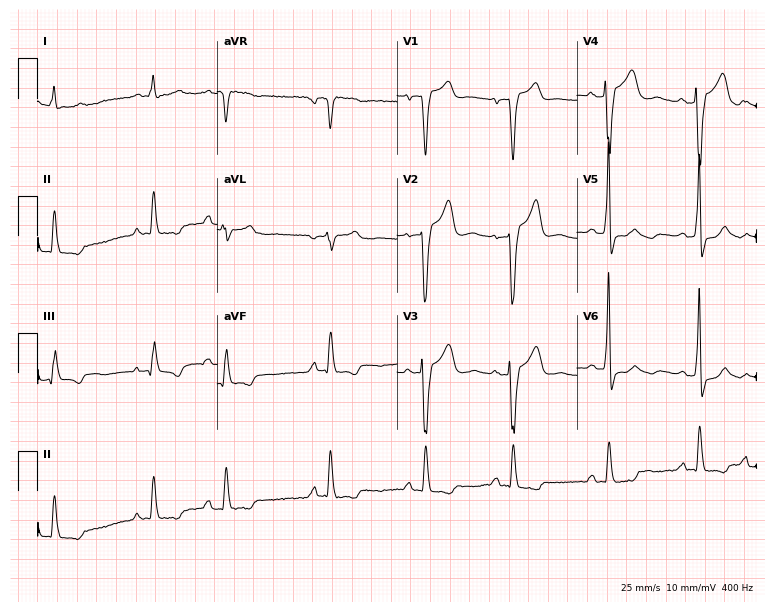
ECG (7.3-second recording at 400 Hz) — a 69-year-old male patient. Findings include left bundle branch block (LBBB).